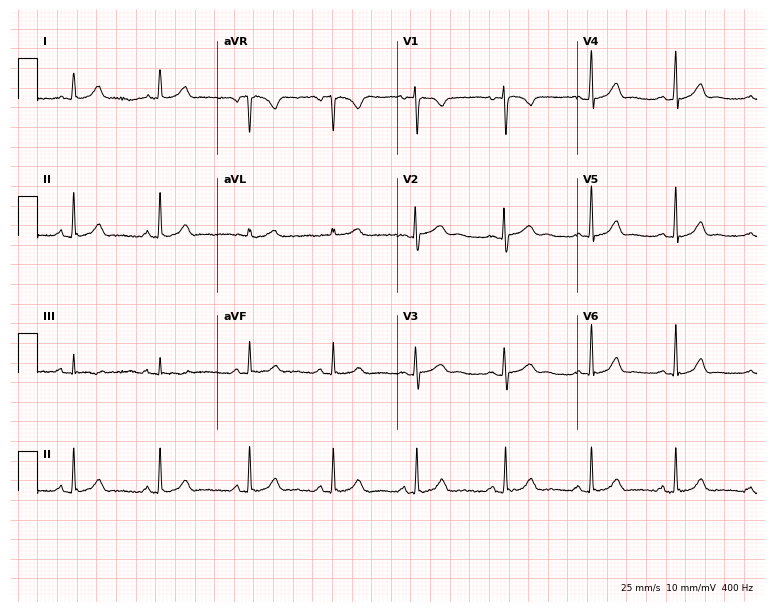
Electrocardiogram, a woman, 17 years old. Of the six screened findings (first-degree AV block, right bundle branch block (RBBB), left bundle branch block (LBBB), sinus bradycardia, atrial fibrillation (AF), sinus tachycardia), none is recorded. Only these six findings were labelled.